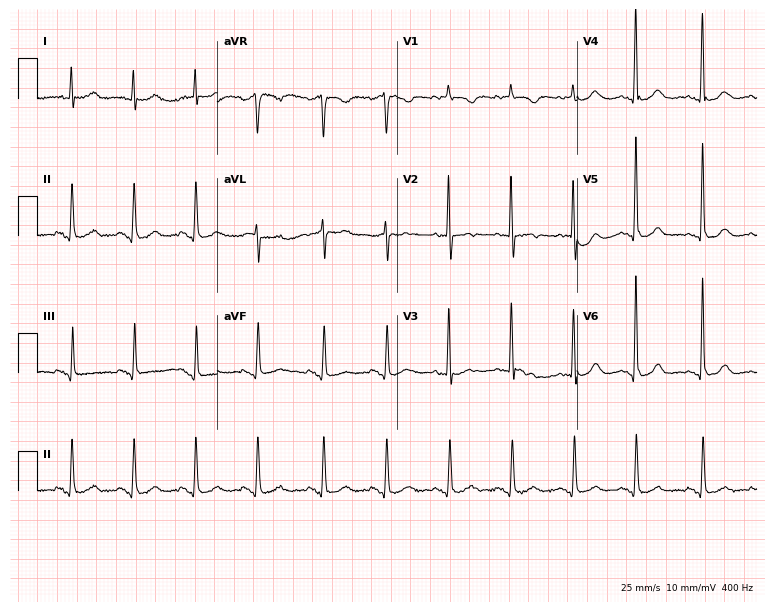
12-lead ECG from a female patient, 80 years old. Screened for six findings — first-degree AV block, right bundle branch block (RBBB), left bundle branch block (LBBB), sinus bradycardia, atrial fibrillation (AF), sinus tachycardia — none is recorded. Only these six findings were labelled.